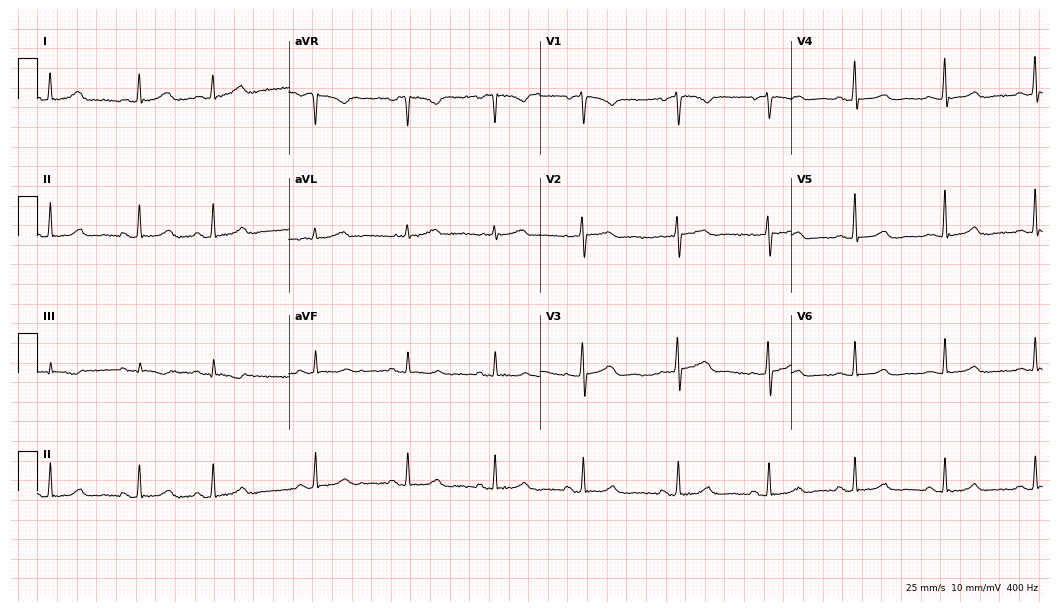
Electrocardiogram (10.2-second recording at 400 Hz), a 77-year-old woman. Overall reading on record: normal ECG.